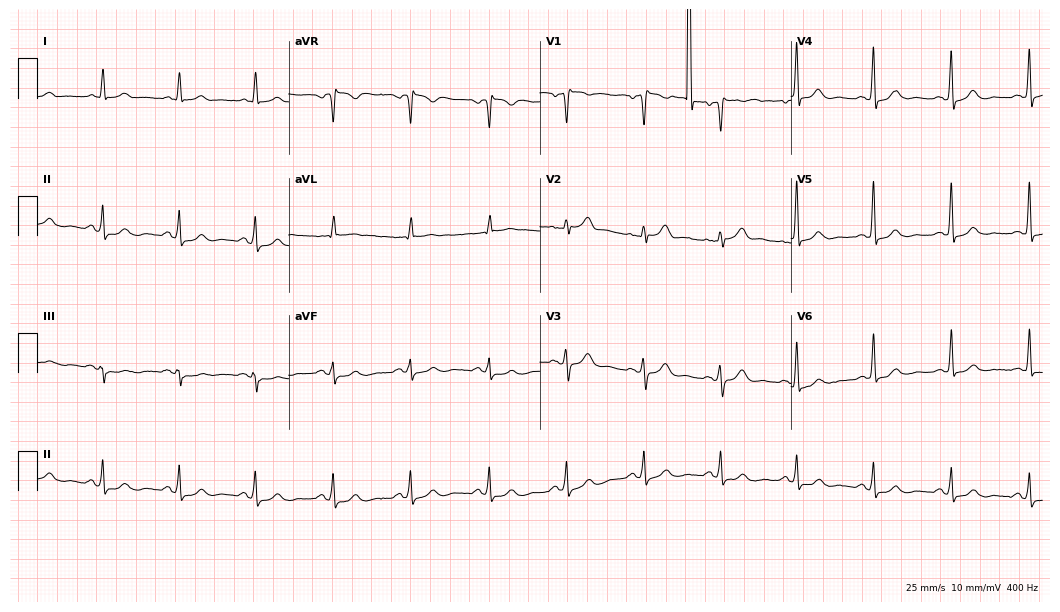
12-lead ECG from a 55-year-old man. Recorded interpretation: within normal limits.